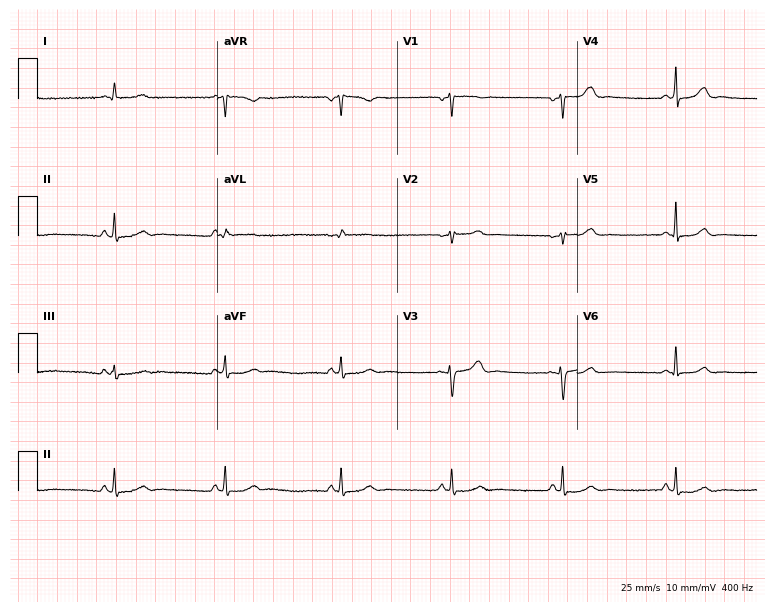
Standard 12-lead ECG recorded from a woman, 28 years old. Read as a normal ECG.